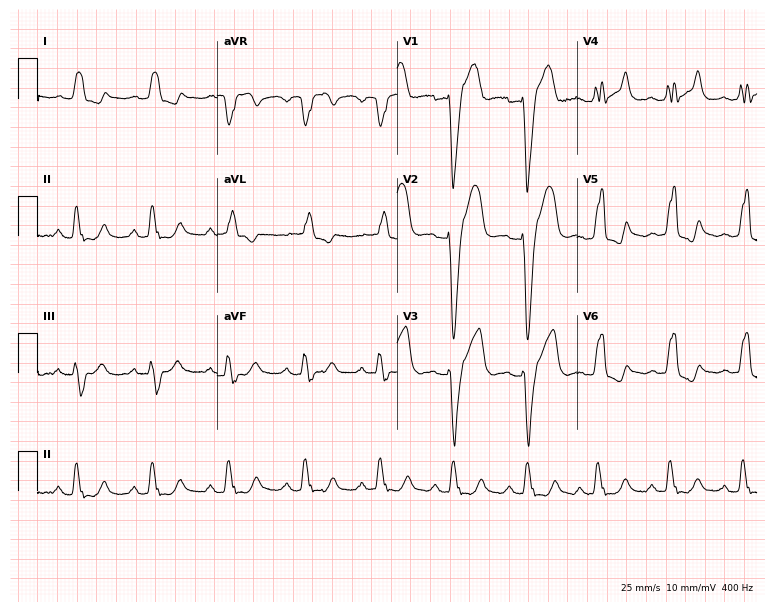
ECG (7.3-second recording at 400 Hz) — a male patient, 43 years old. Screened for six findings — first-degree AV block, right bundle branch block, left bundle branch block, sinus bradycardia, atrial fibrillation, sinus tachycardia — none is recorded. Only these six findings were labelled.